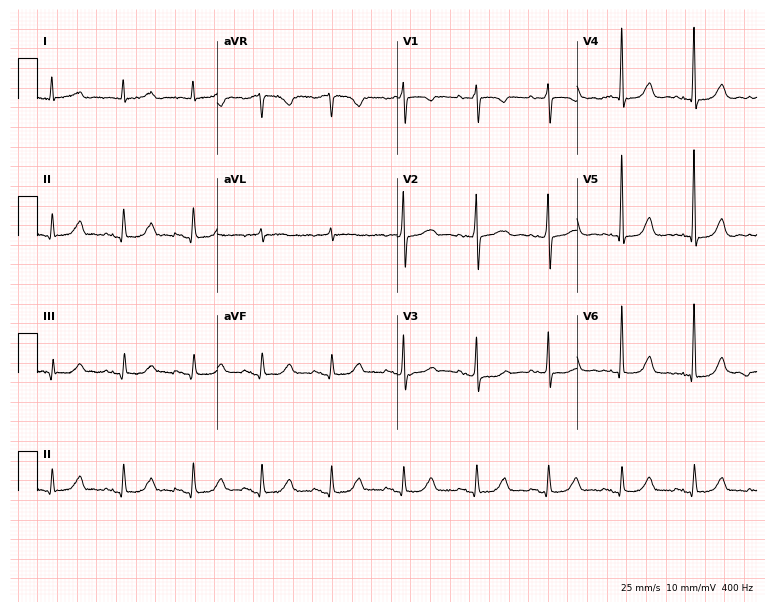
Standard 12-lead ECG recorded from a woman, 81 years old. None of these six findings is recorded: first-degree AV block, right bundle branch block, left bundle branch block, sinus bradycardia, atrial fibrillation, sinus tachycardia. Findings outside these six are not listed.